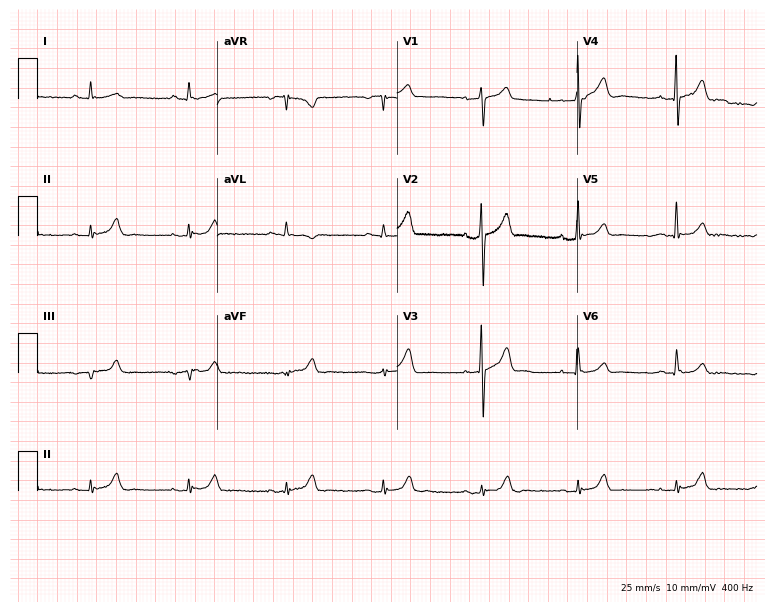
Standard 12-lead ECG recorded from an 82-year-old man. Read as a normal ECG.